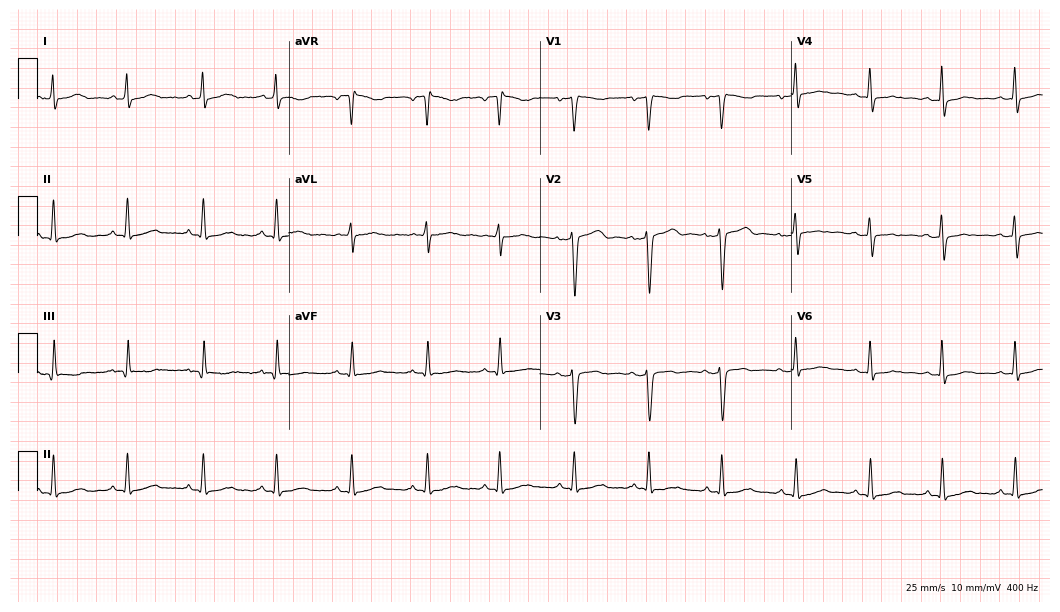
Electrocardiogram, a 53-year-old woman. Of the six screened findings (first-degree AV block, right bundle branch block (RBBB), left bundle branch block (LBBB), sinus bradycardia, atrial fibrillation (AF), sinus tachycardia), none is recorded. Only these six findings were labelled.